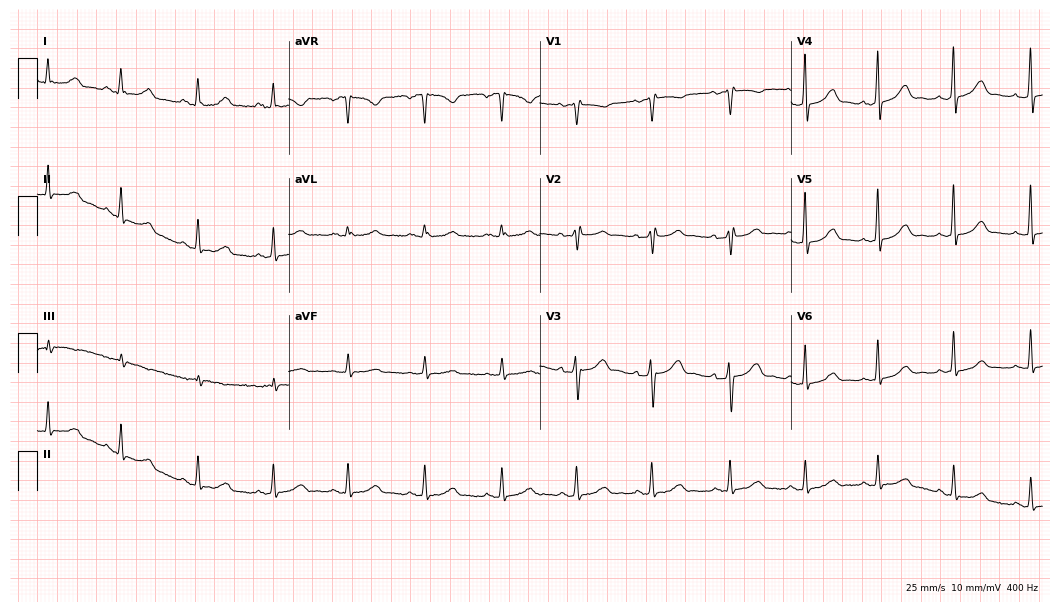
12-lead ECG from a woman, 36 years old (10.2-second recording at 400 Hz). No first-degree AV block, right bundle branch block, left bundle branch block, sinus bradycardia, atrial fibrillation or sinus tachycardia recorded for this tracing. Other findings, if any, are not listed.